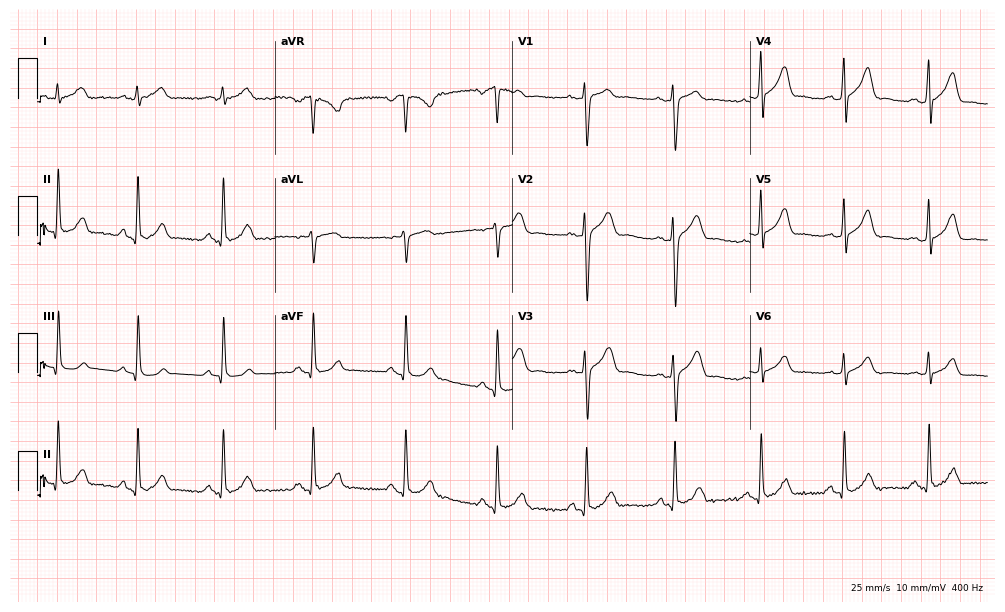
Resting 12-lead electrocardiogram (9.7-second recording at 400 Hz). Patient: a male, 36 years old. Read as a normal ECG.